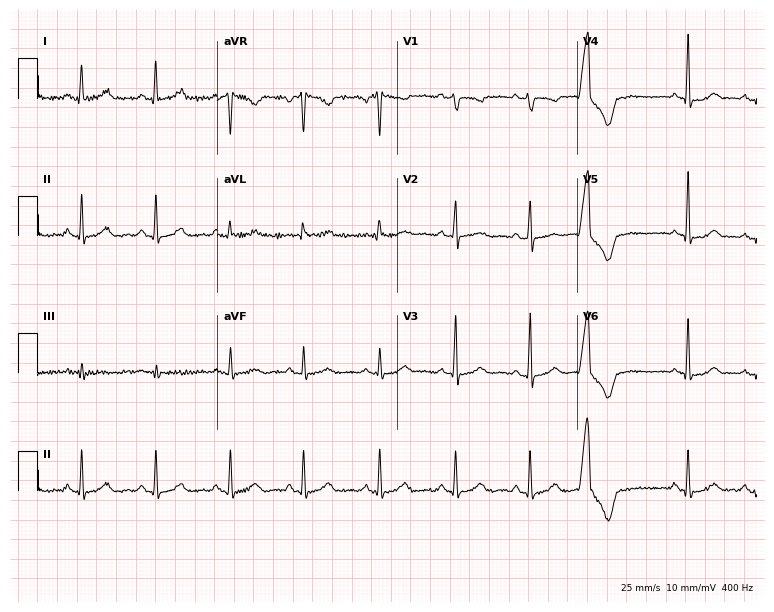
Resting 12-lead electrocardiogram. Patient: a 46-year-old woman. None of these six findings is recorded: first-degree AV block, right bundle branch block (RBBB), left bundle branch block (LBBB), sinus bradycardia, atrial fibrillation (AF), sinus tachycardia. Other findings, if any, are not listed.